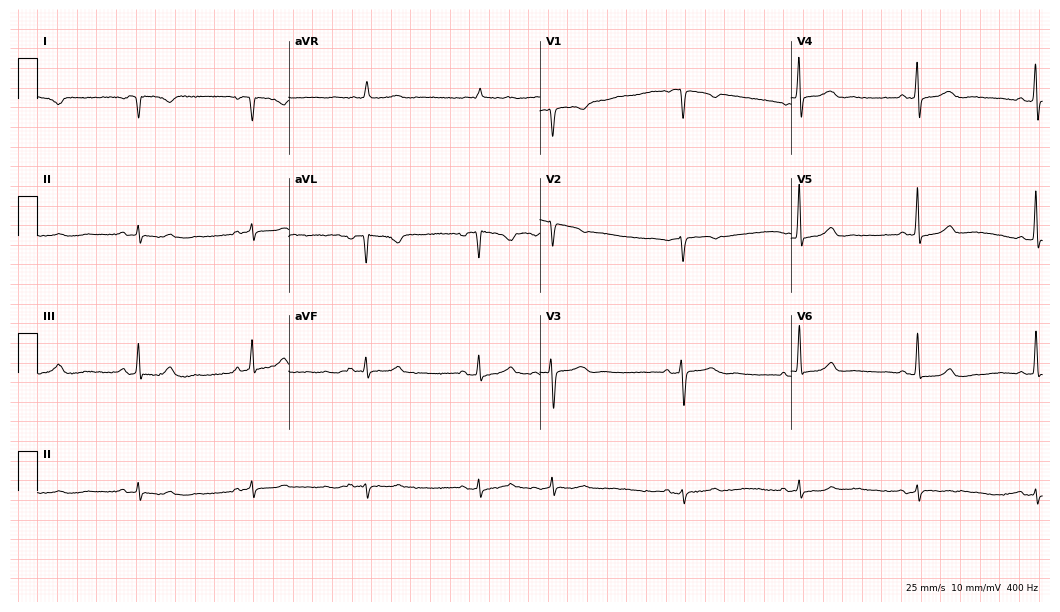
12-lead ECG from a 79-year-old woman. No first-degree AV block, right bundle branch block (RBBB), left bundle branch block (LBBB), sinus bradycardia, atrial fibrillation (AF) or sinus tachycardia recorded for this tracing.